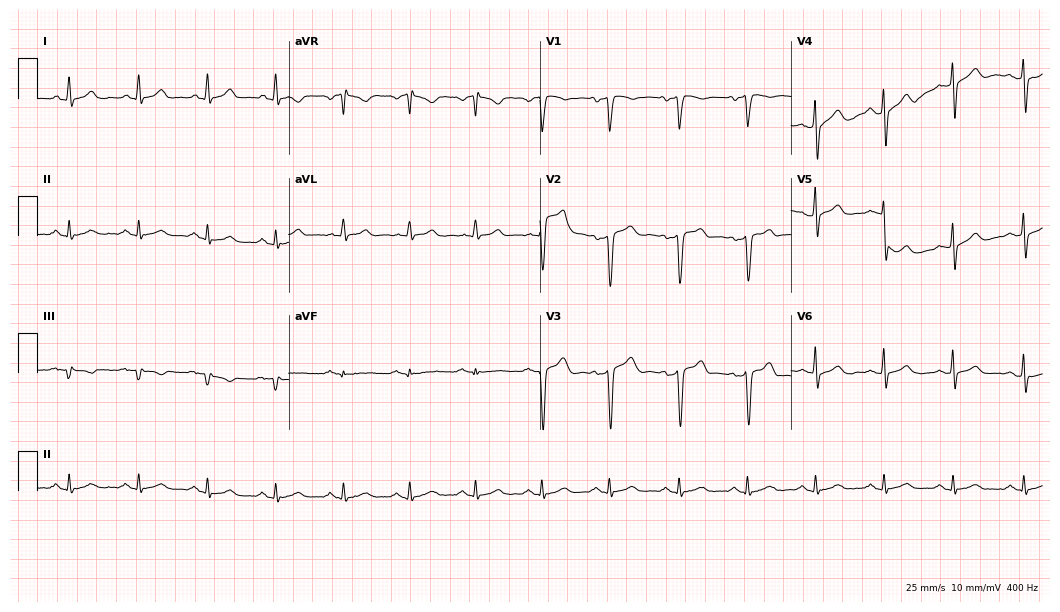
Standard 12-lead ECG recorded from a male patient, 50 years old. Read as a normal ECG.